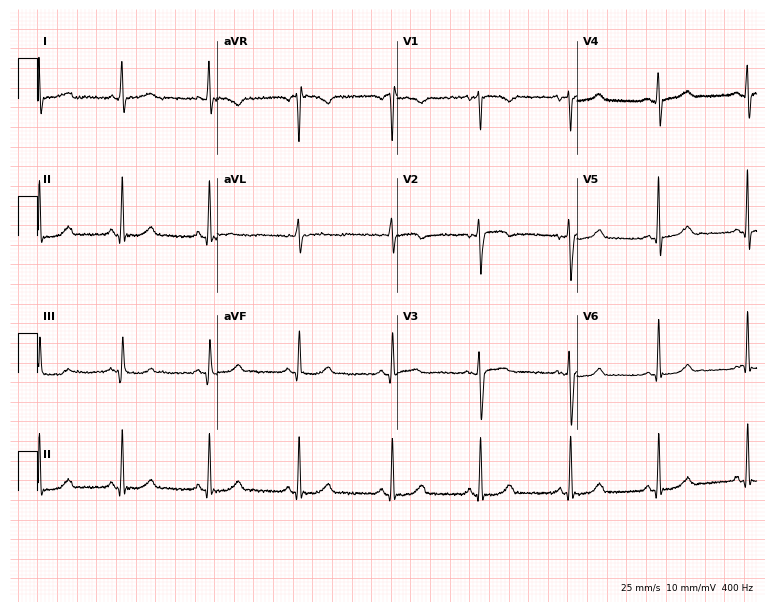
Standard 12-lead ECG recorded from a 35-year-old female patient. Read as a normal ECG.